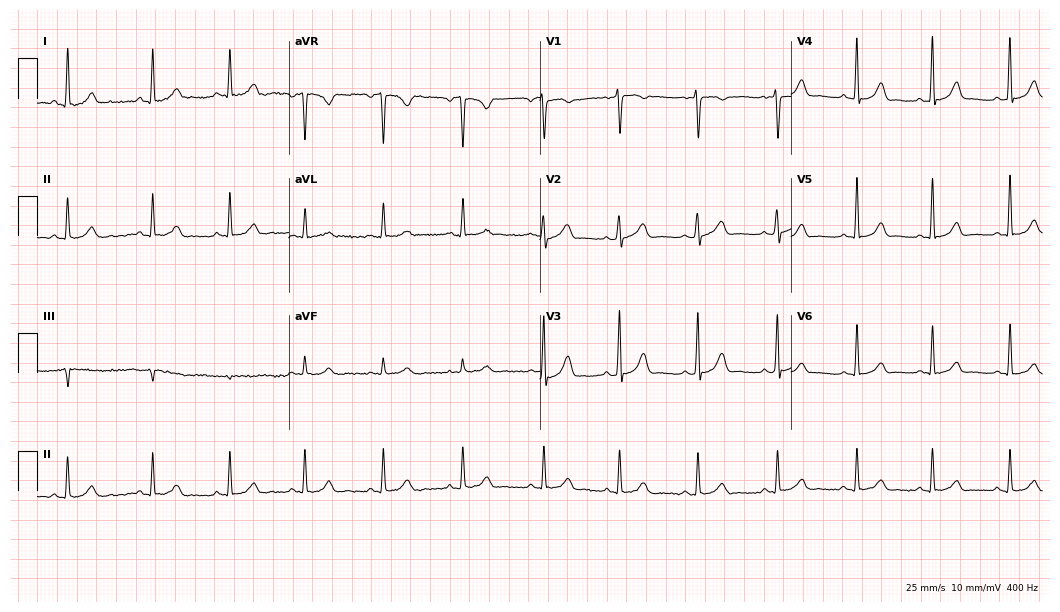
Standard 12-lead ECG recorded from a 23-year-old female patient. None of these six findings is recorded: first-degree AV block, right bundle branch block, left bundle branch block, sinus bradycardia, atrial fibrillation, sinus tachycardia. Only these six findings were labelled.